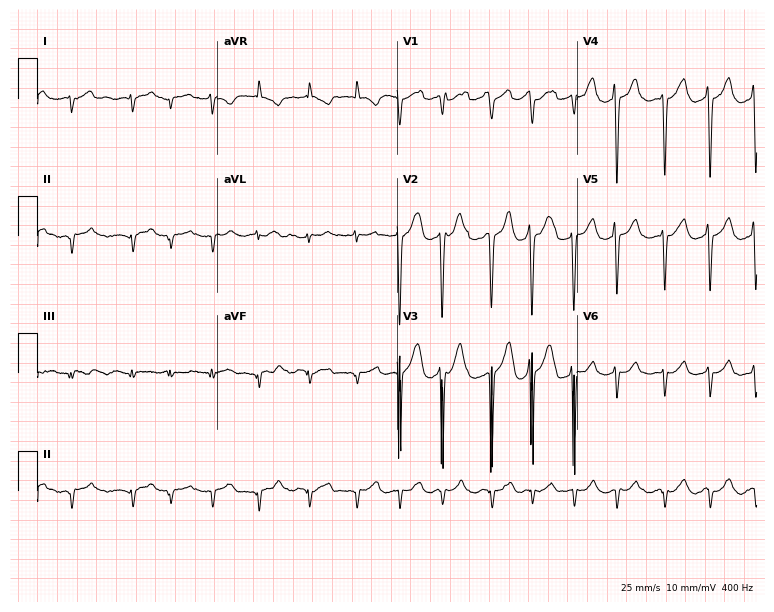
12-lead ECG from a man, 61 years old. Shows atrial fibrillation (AF).